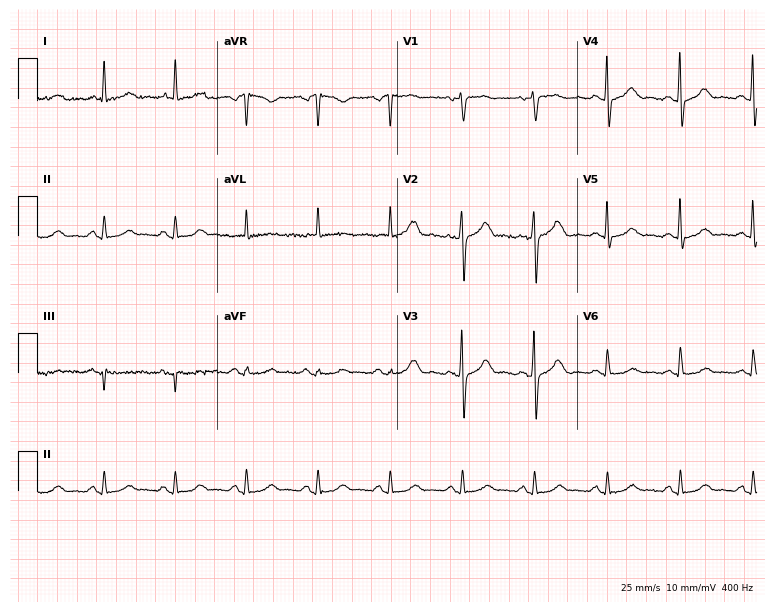
Electrocardiogram (7.3-second recording at 400 Hz), an 81-year-old female. Overall reading on record: normal ECG.